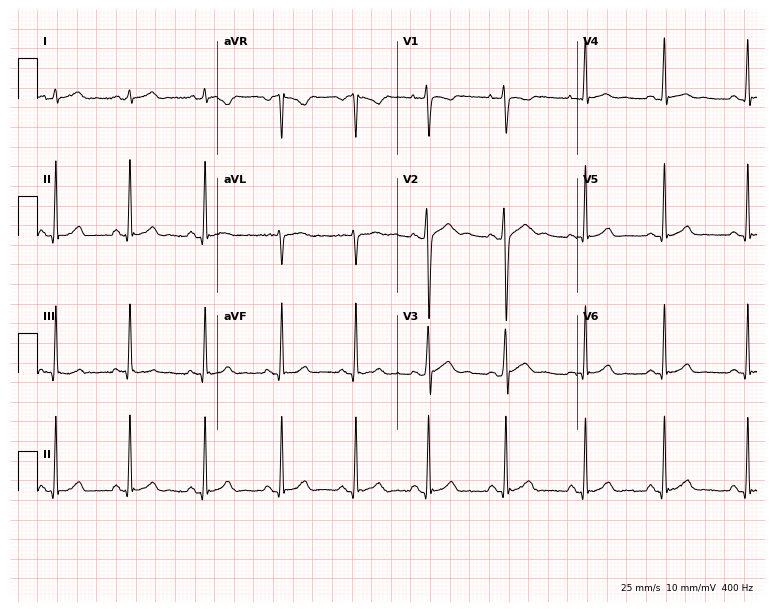
12-lead ECG from a 19-year-old male patient. Labelled as a normal ECG.